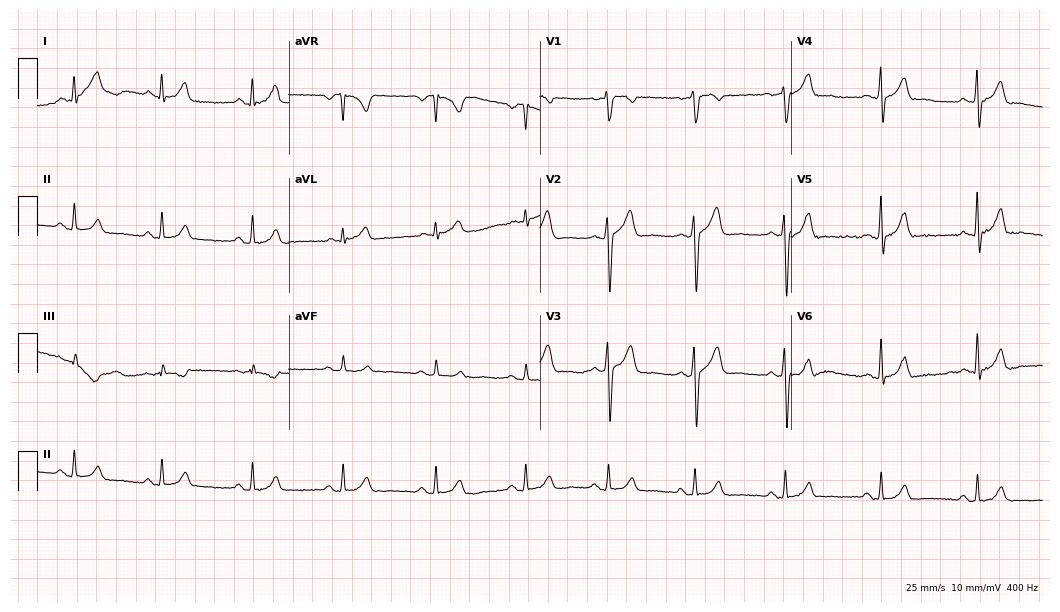
Electrocardiogram, a 24-year-old male. Of the six screened findings (first-degree AV block, right bundle branch block, left bundle branch block, sinus bradycardia, atrial fibrillation, sinus tachycardia), none is recorded. Only these six findings were labelled.